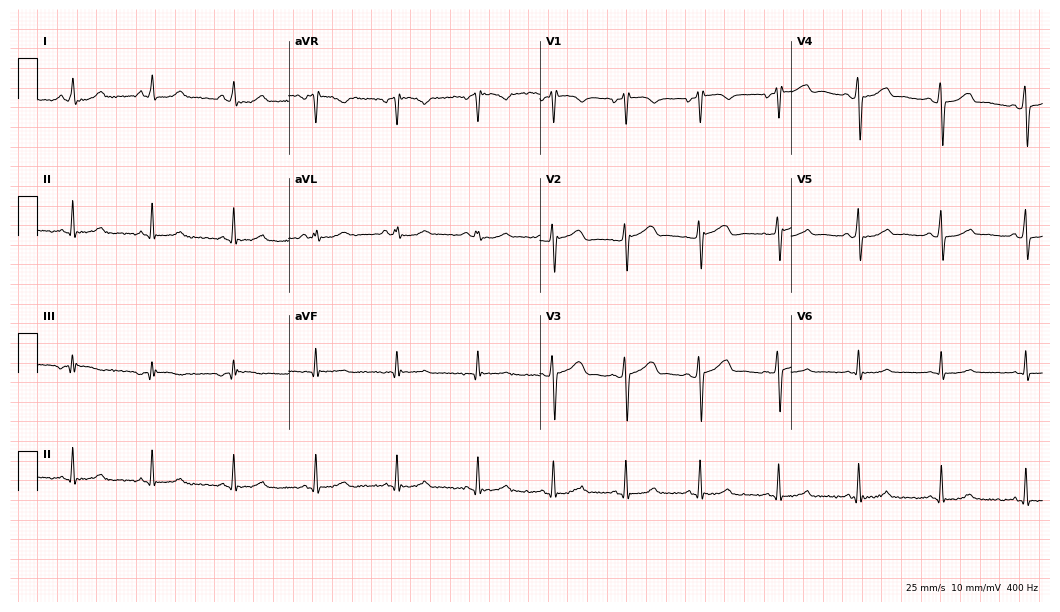
ECG (10.2-second recording at 400 Hz) — a 52-year-old female. Labelled as a normal ECG.